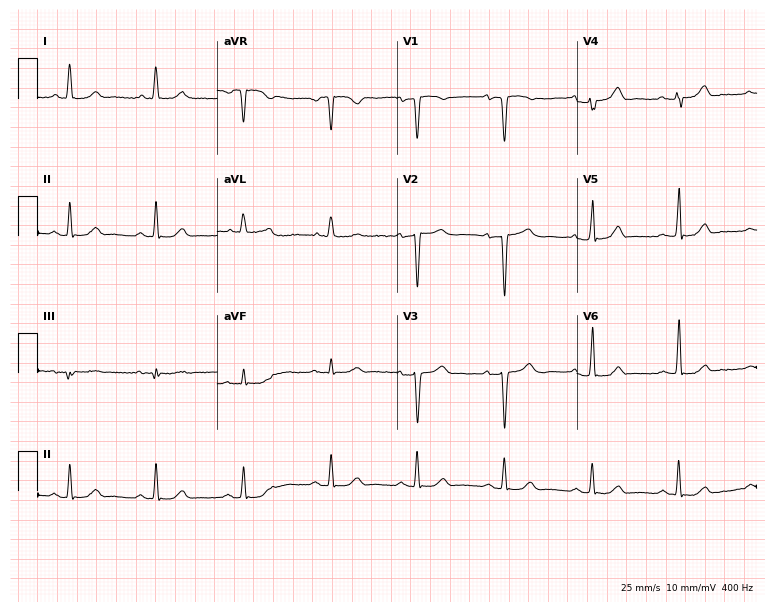
ECG — an 80-year-old female. Screened for six findings — first-degree AV block, right bundle branch block, left bundle branch block, sinus bradycardia, atrial fibrillation, sinus tachycardia — none is recorded.